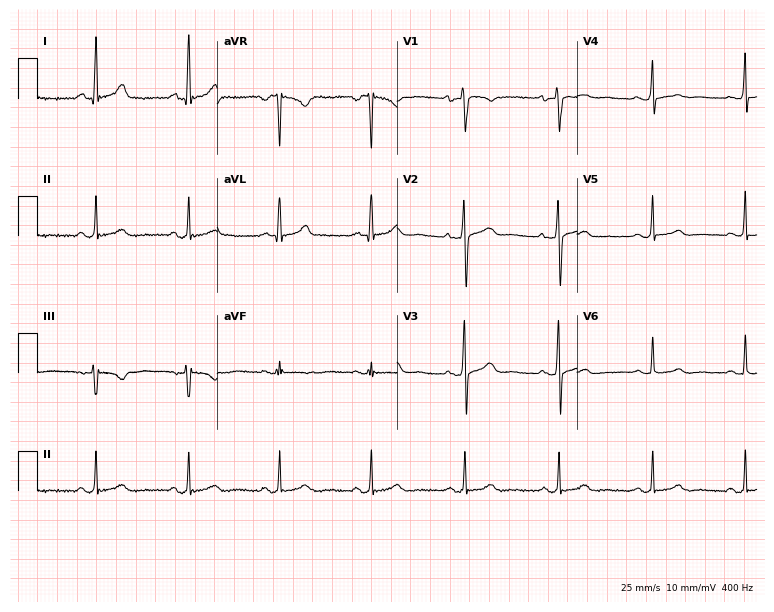
12-lead ECG (7.3-second recording at 400 Hz) from a female patient, 52 years old. Screened for six findings — first-degree AV block, right bundle branch block, left bundle branch block, sinus bradycardia, atrial fibrillation, sinus tachycardia — none is recorded. Only these six findings were labelled.